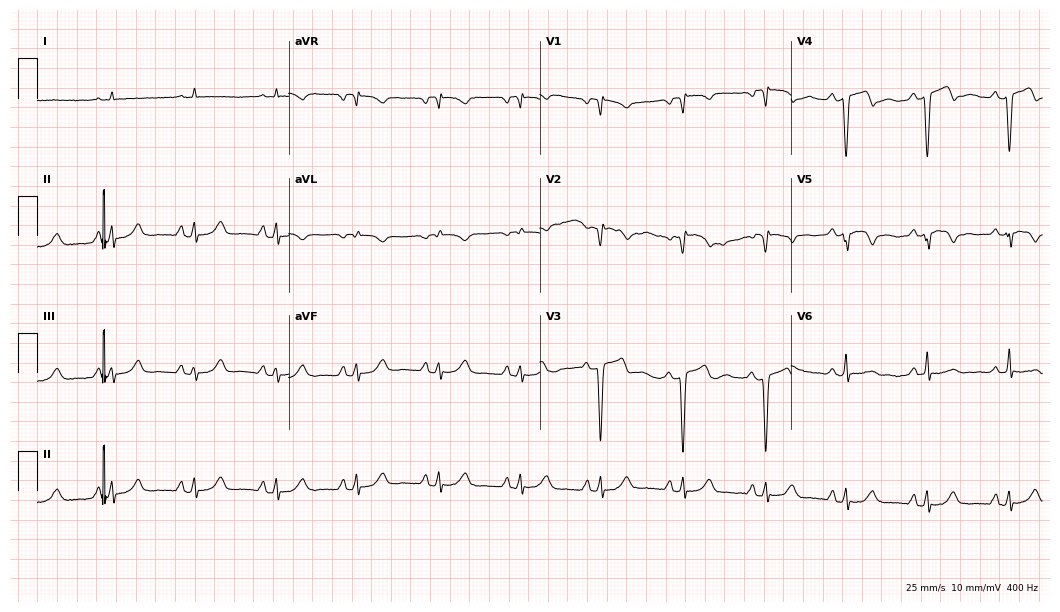
12-lead ECG from a 53-year-old woman. Screened for six findings — first-degree AV block, right bundle branch block (RBBB), left bundle branch block (LBBB), sinus bradycardia, atrial fibrillation (AF), sinus tachycardia — none is recorded. Findings outside these six are not listed.